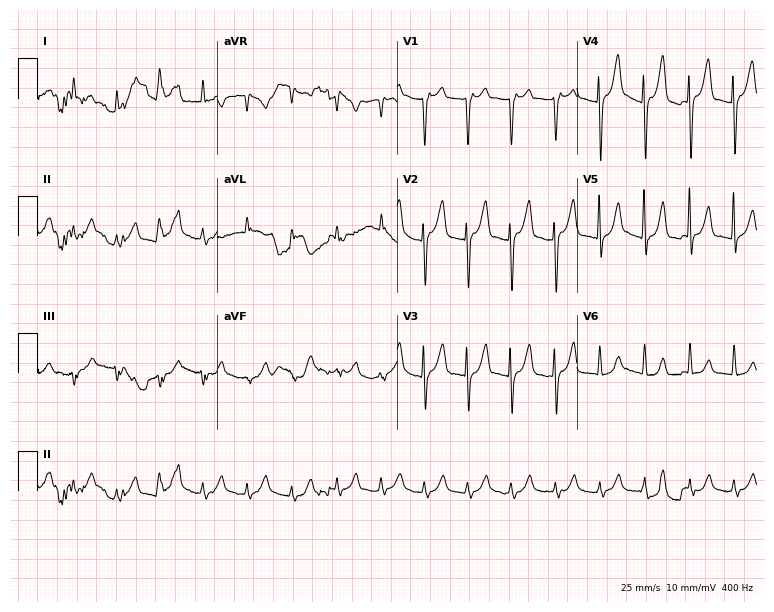
12-lead ECG (7.3-second recording at 400 Hz) from a male patient, 68 years old. Screened for six findings — first-degree AV block, right bundle branch block, left bundle branch block, sinus bradycardia, atrial fibrillation, sinus tachycardia — none is recorded.